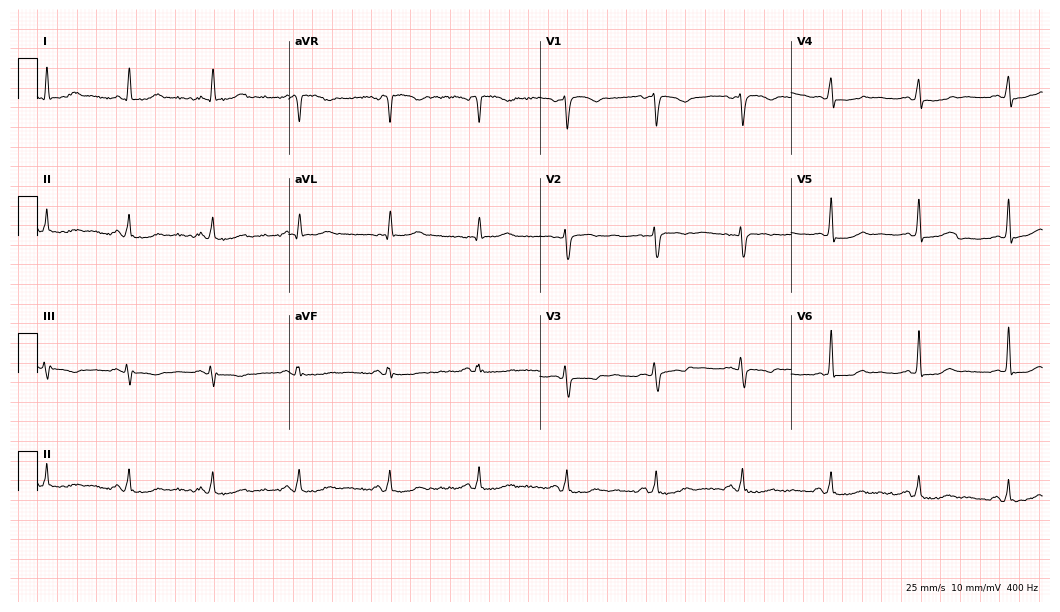
12-lead ECG from a 40-year-old female (10.2-second recording at 400 Hz). No first-degree AV block, right bundle branch block, left bundle branch block, sinus bradycardia, atrial fibrillation or sinus tachycardia recorded for this tracing. Other findings, if any, are not listed.